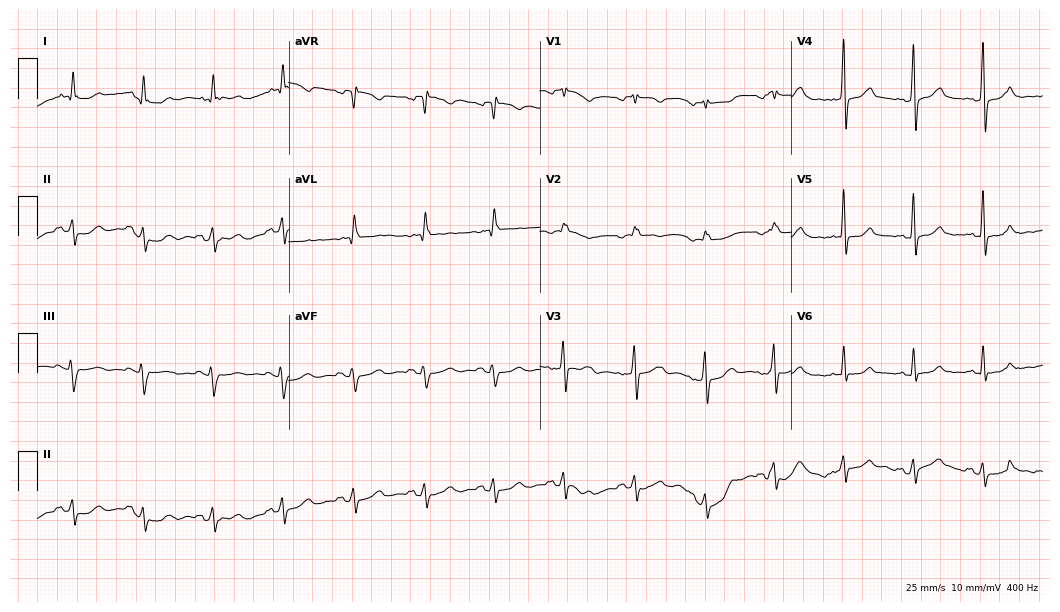
12-lead ECG from a 59-year-old female. Labelled as a normal ECG.